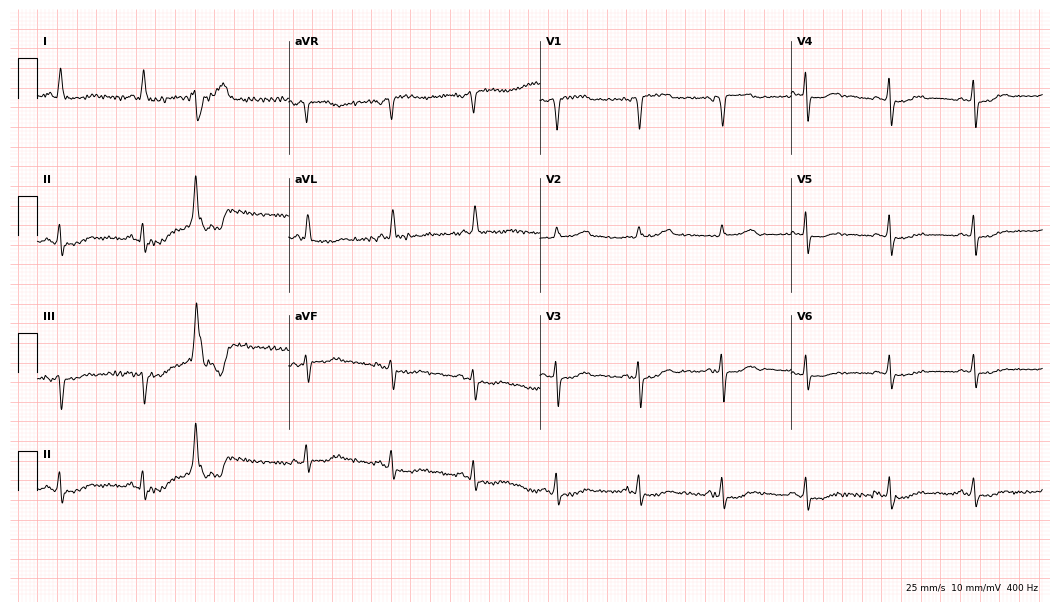
Electrocardiogram, a woman, 85 years old. Of the six screened findings (first-degree AV block, right bundle branch block, left bundle branch block, sinus bradycardia, atrial fibrillation, sinus tachycardia), none is recorded.